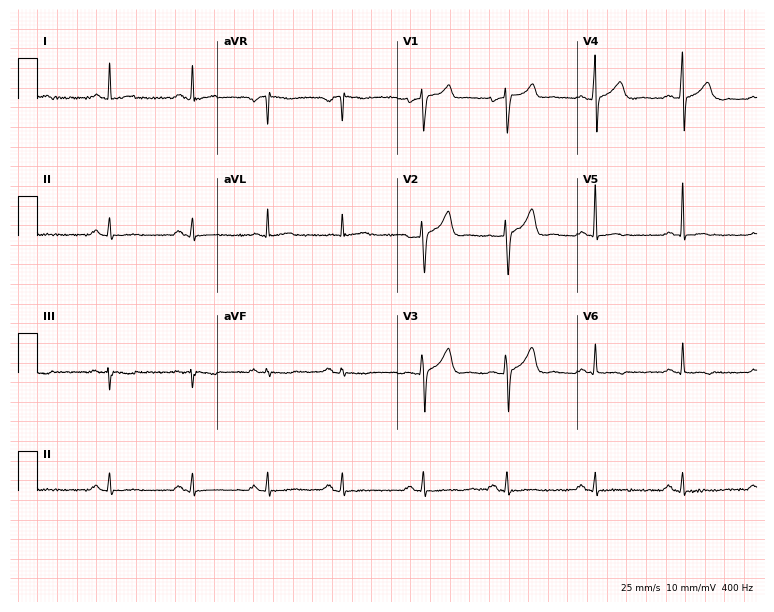
Electrocardiogram, a man, 48 years old. Of the six screened findings (first-degree AV block, right bundle branch block, left bundle branch block, sinus bradycardia, atrial fibrillation, sinus tachycardia), none is recorded. Other findings, if any, are not listed.